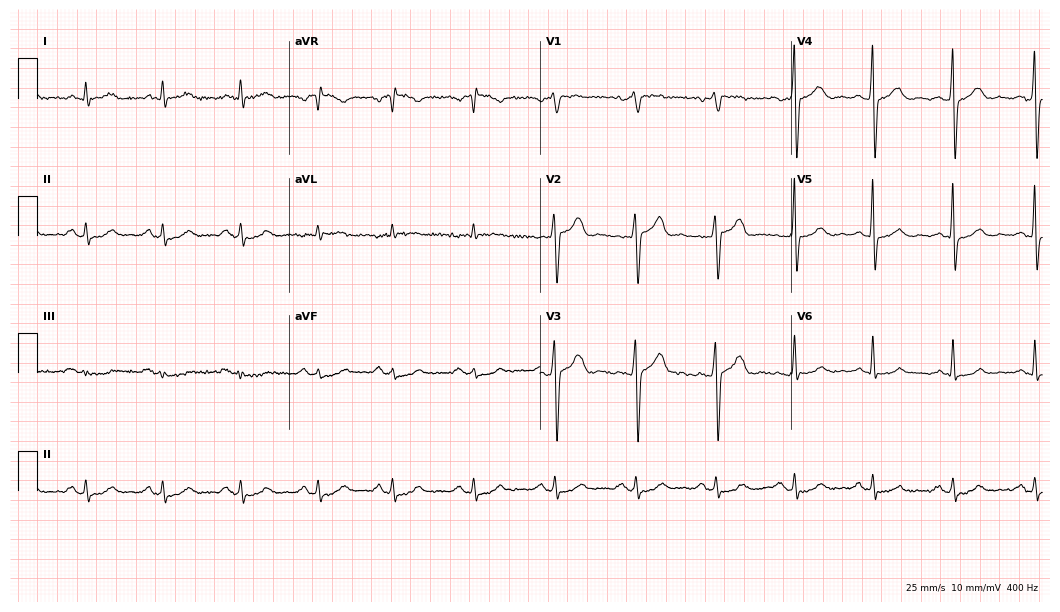
12-lead ECG (10.2-second recording at 400 Hz) from a 57-year-old man. Screened for six findings — first-degree AV block, right bundle branch block (RBBB), left bundle branch block (LBBB), sinus bradycardia, atrial fibrillation (AF), sinus tachycardia — none is recorded. Findings outside these six are not listed.